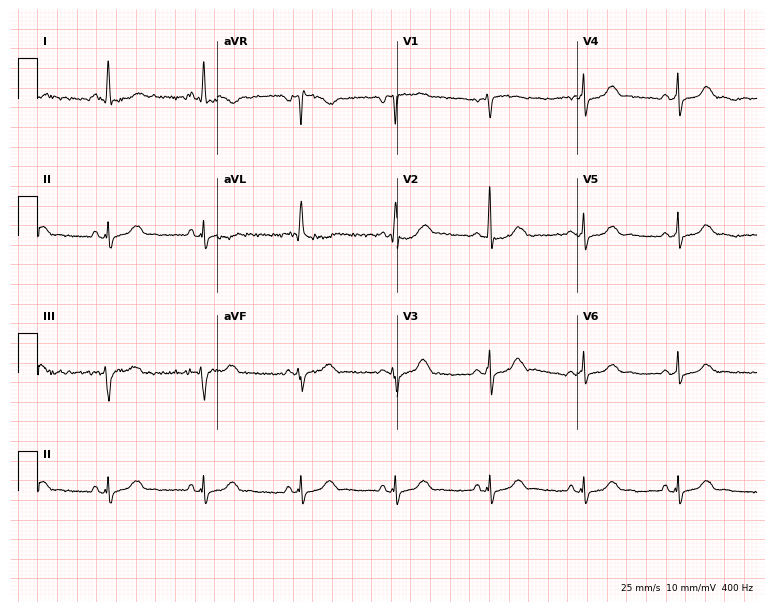
12-lead ECG from a female patient, 62 years old (7.3-second recording at 400 Hz). No first-degree AV block, right bundle branch block, left bundle branch block, sinus bradycardia, atrial fibrillation or sinus tachycardia recorded for this tracing. Findings outside these six are not listed.